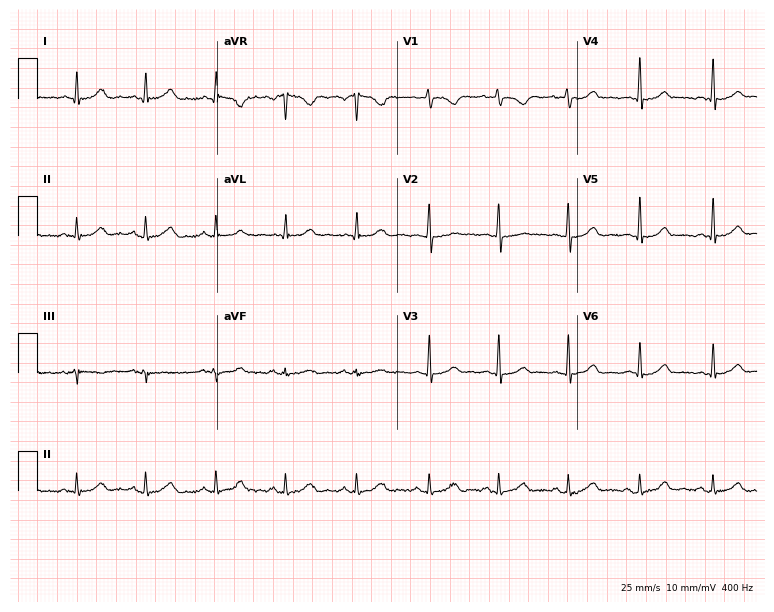
Resting 12-lead electrocardiogram (7.3-second recording at 400 Hz). Patient: a 50-year-old female. Read as a normal ECG.